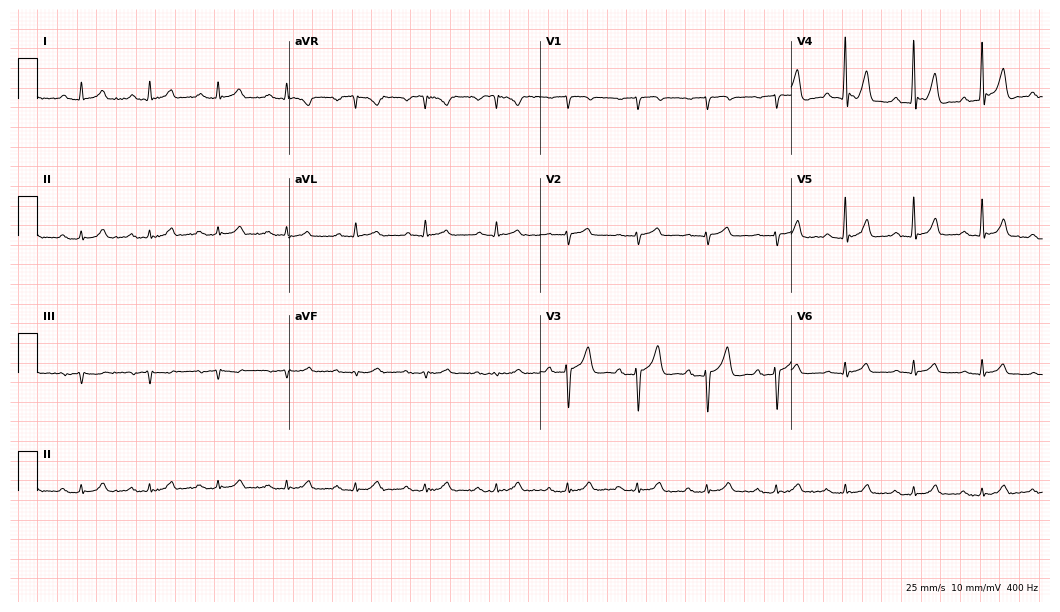
Standard 12-lead ECG recorded from a male, 71 years old (10.2-second recording at 400 Hz). Read as a normal ECG.